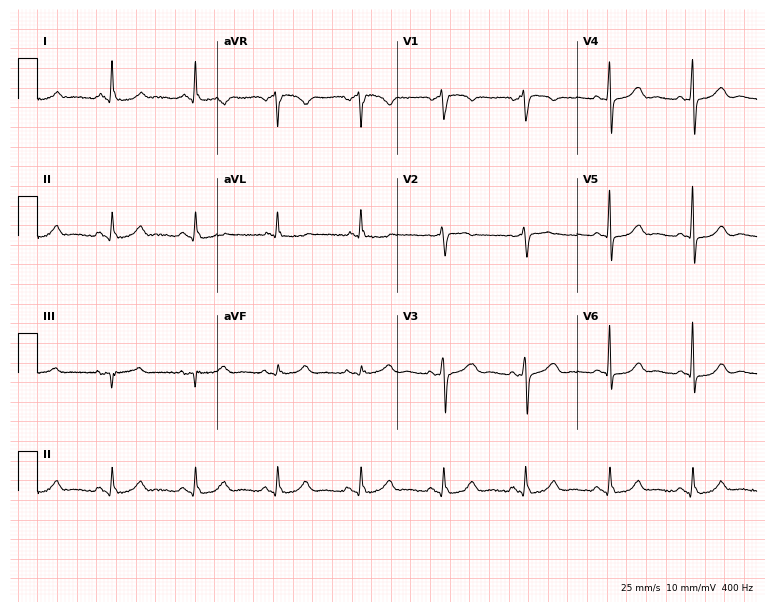
Standard 12-lead ECG recorded from a 71-year-old female patient (7.3-second recording at 400 Hz). None of these six findings is recorded: first-degree AV block, right bundle branch block, left bundle branch block, sinus bradycardia, atrial fibrillation, sinus tachycardia. Findings outside these six are not listed.